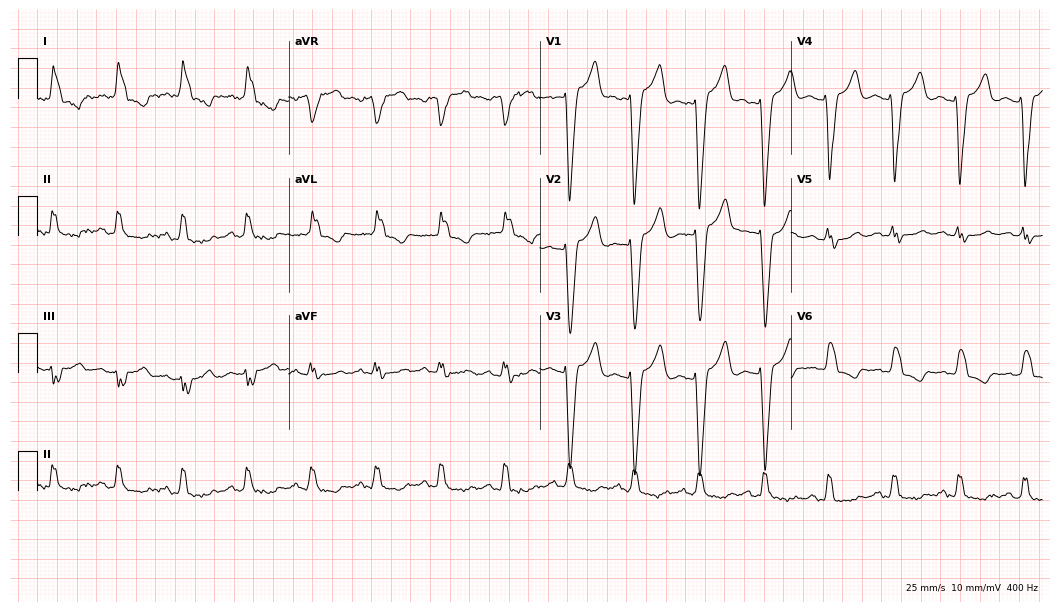
Electrocardiogram (10.2-second recording at 400 Hz), a woman, 64 years old. Interpretation includes left bundle branch block.